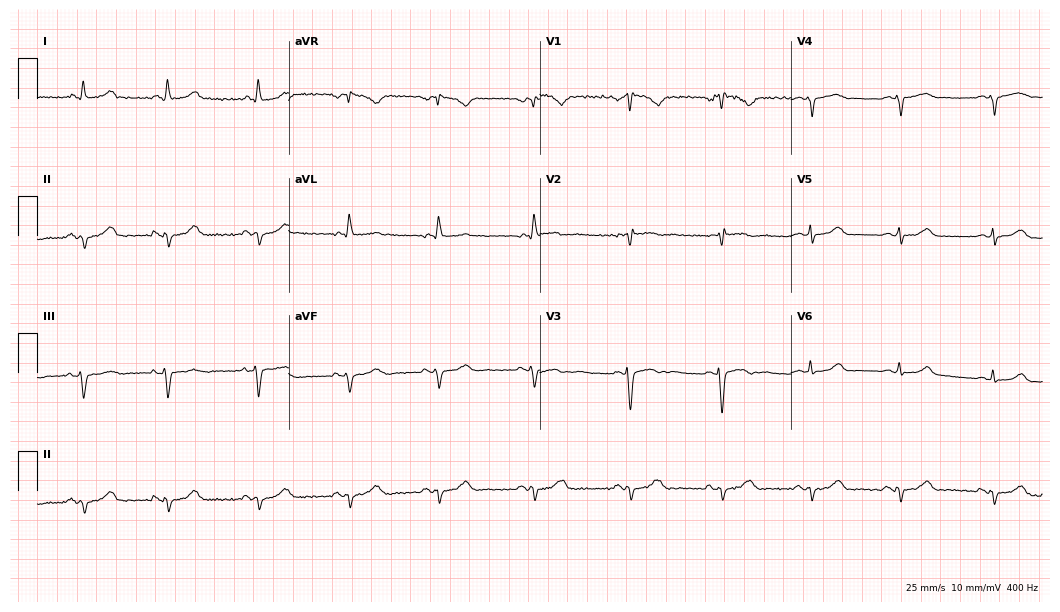
Electrocardiogram, a female, 58 years old. Of the six screened findings (first-degree AV block, right bundle branch block, left bundle branch block, sinus bradycardia, atrial fibrillation, sinus tachycardia), none is recorded.